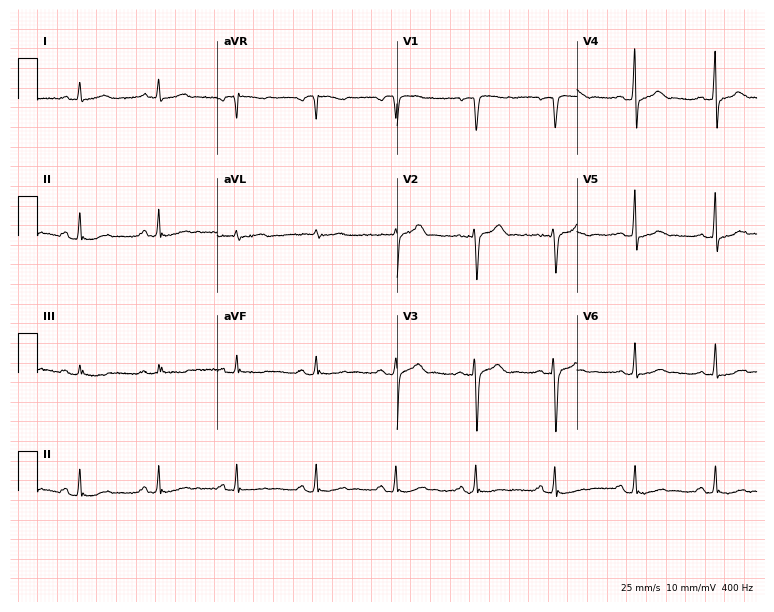
Electrocardiogram (7.3-second recording at 400 Hz), a 71-year-old man. Overall reading on record: normal ECG.